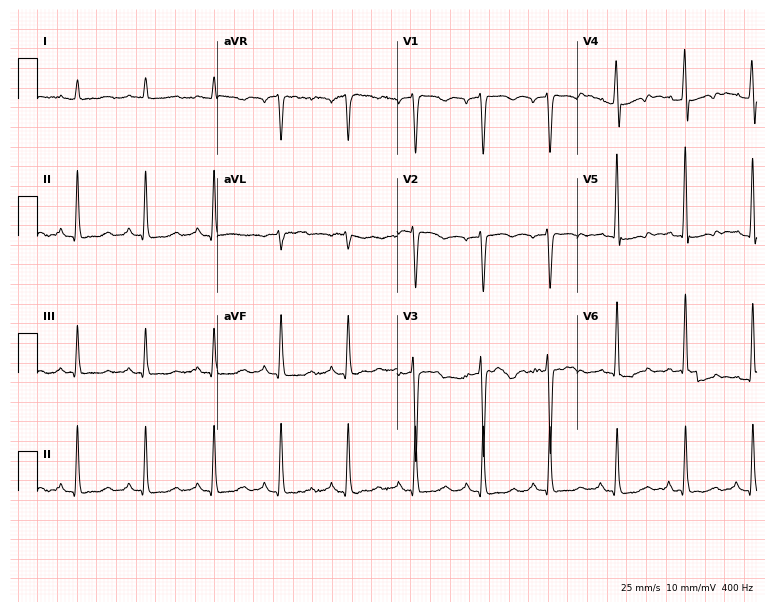
Electrocardiogram (7.3-second recording at 400 Hz), a male, 66 years old. Of the six screened findings (first-degree AV block, right bundle branch block, left bundle branch block, sinus bradycardia, atrial fibrillation, sinus tachycardia), none is recorded. Findings outside these six are not listed.